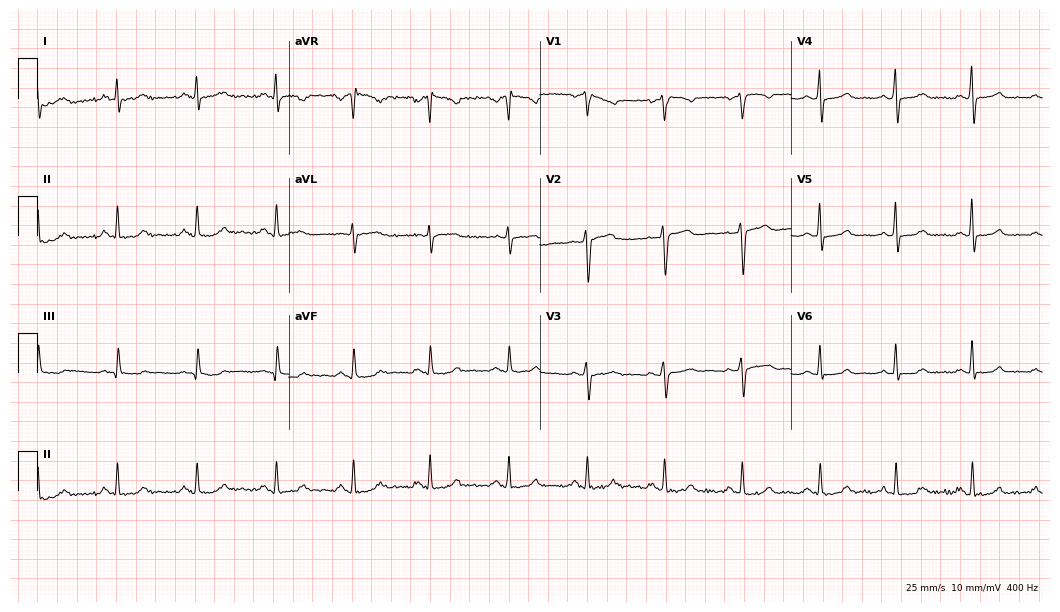
12-lead ECG (10.2-second recording at 400 Hz) from a 54-year-old female. Labelled as a normal ECG.